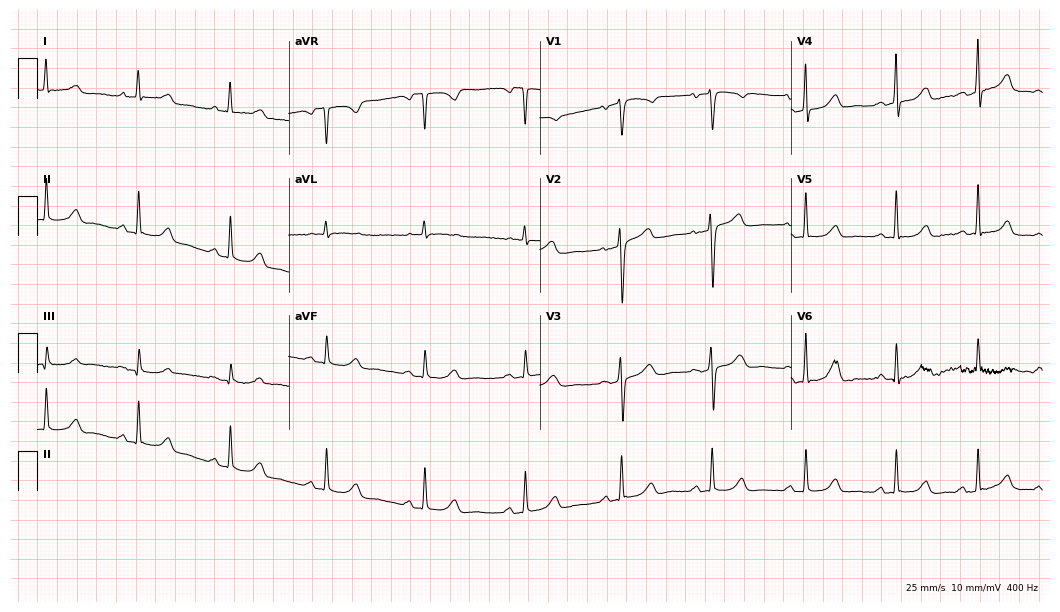
Electrocardiogram (10.2-second recording at 400 Hz), a female patient, 50 years old. Overall reading on record: normal ECG.